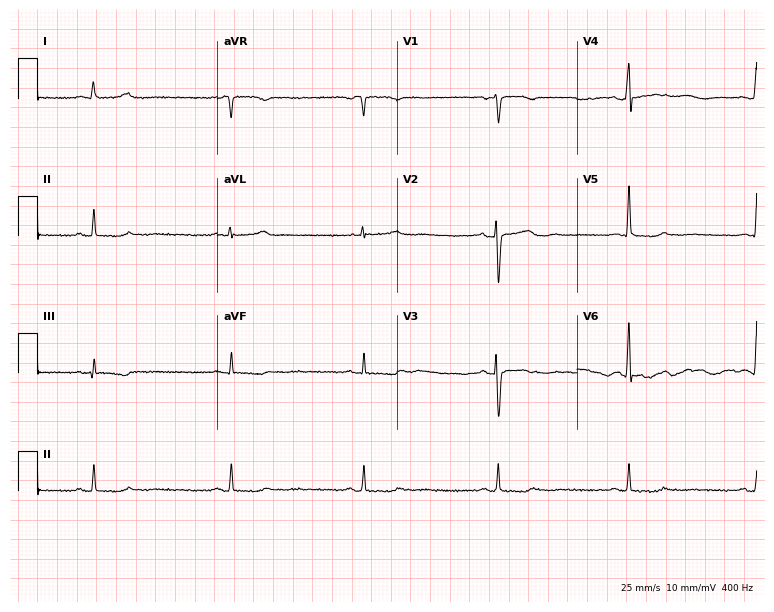
Resting 12-lead electrocardiogram. Patient: a female, 57 years old. None of these six findings is recorded: first-degree AV block, right bundle branch block, left bundle branch block, sinus bradycardia, atrial fibrillation, sinus tachycardia. Only these six findings were labelled.